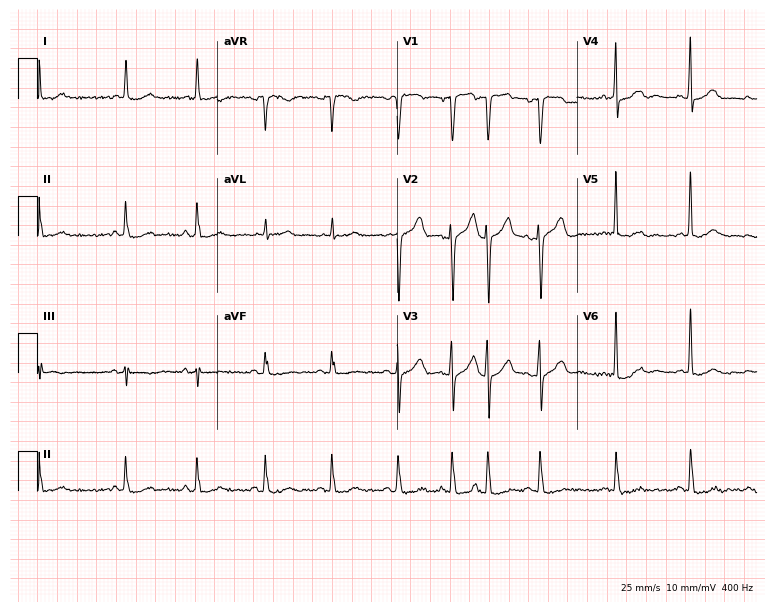
Electrocardiogram (7.3-second recording at 400 Hz), a male, 73 years old. Of the six screened findings (first-degree AV block, right bundle branch block (RBBB), left bundle branch block (LBBB), sinus bradycardia, atrial fibrillation (AF), sinus tachycardia), none is recorded.